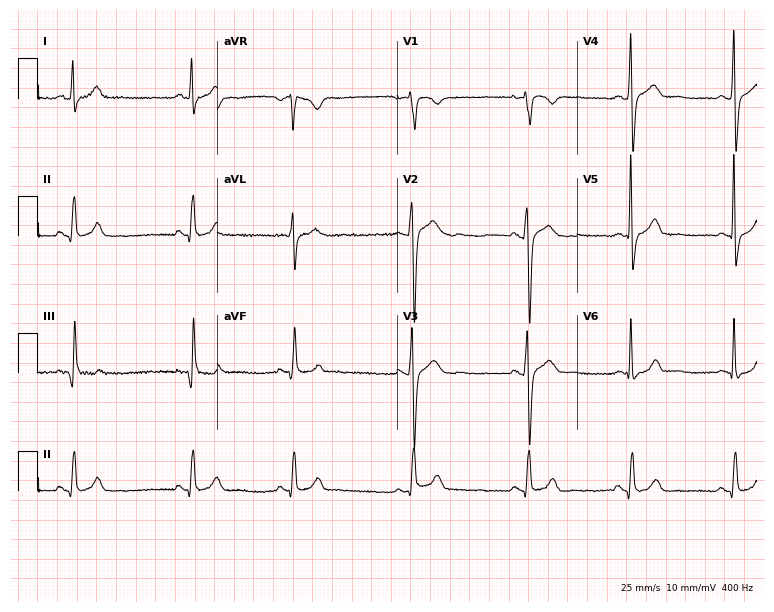
Resting 12-lead electrocardiogram. Patient: a male, 21 years old. None of these six findings is recorded: first-degree AV block, right bundle branch block, left bundle branch block, sinus bradycardia, atrial fibrillation, sinus tachycardia. Other findings, if any, are not listed.